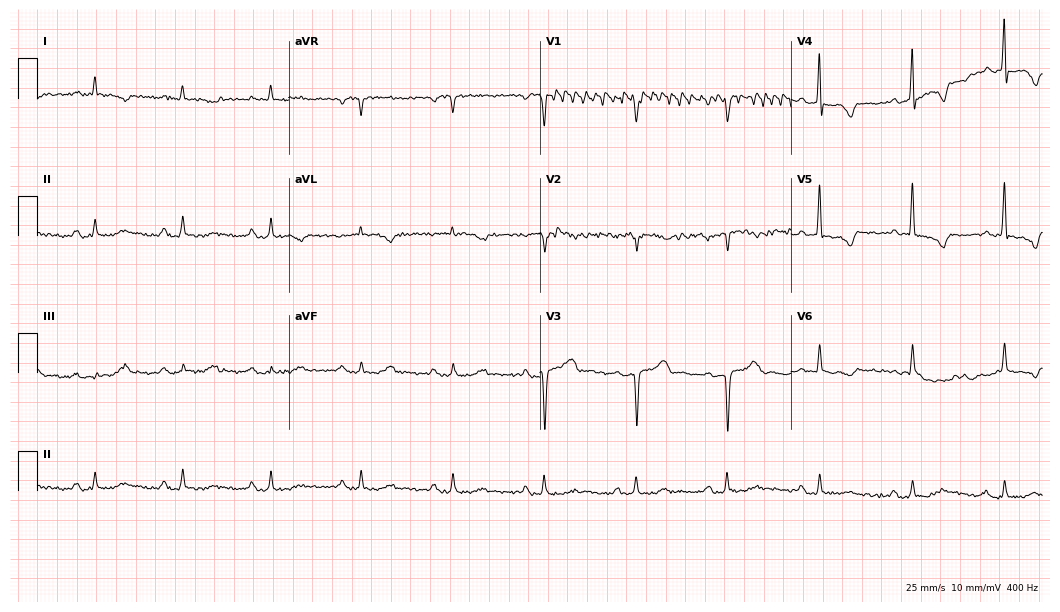
Standard 12-lead ECG recorded from a male patient, 64 years old. None of these six findings is recorded: first-degree AV block, right bundle branch block, left bundle branch block, sinus bradycardia, atrial fibrillation, sinus tachycardia. Only these six findings were labelled.